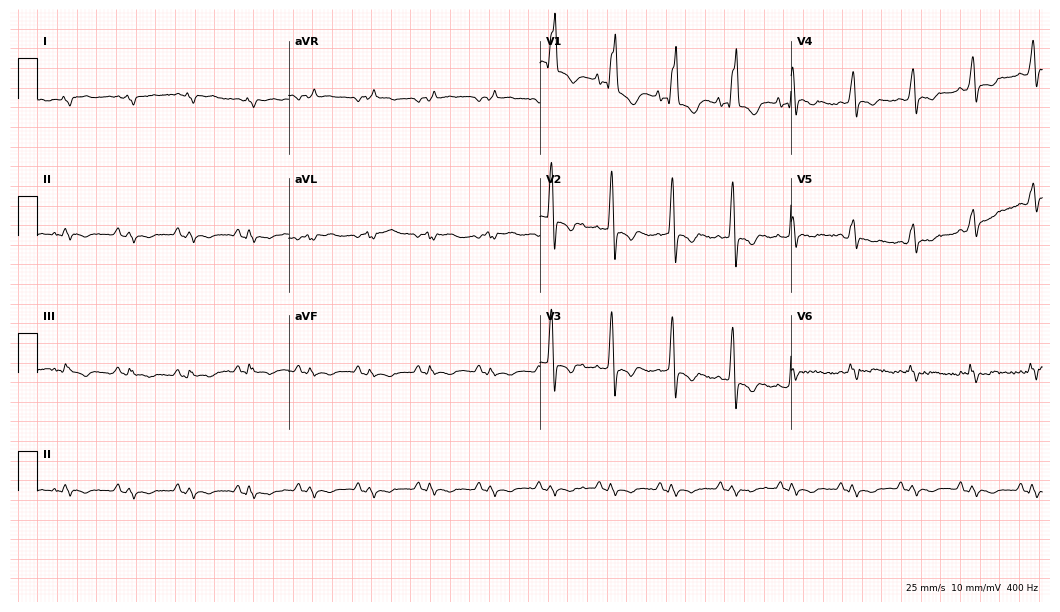
Standard 12-lead ECG recorded from a 79-year-old male. The tracing shows right bundle branch block (RBBB).